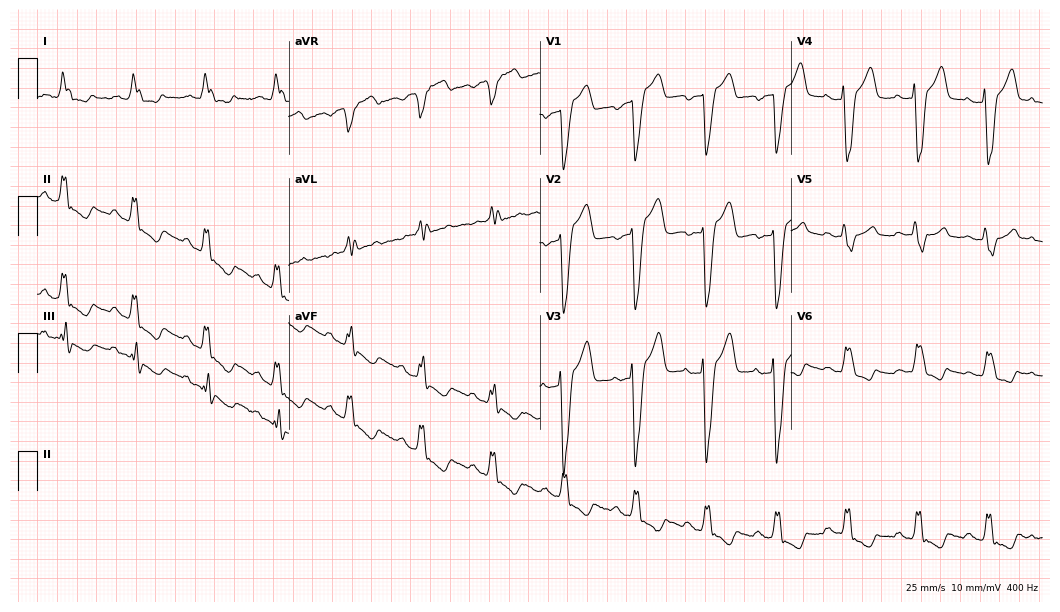
12-lead ECG (10.2-second recording at 400 Hz) from a female patient, 83 years old. Screened for six findings — first-degree AV block, right bundle branch block, left bundle branch block, sinus bradycardia, atrial fibrillation, sinus tachycardia — none is recorded.